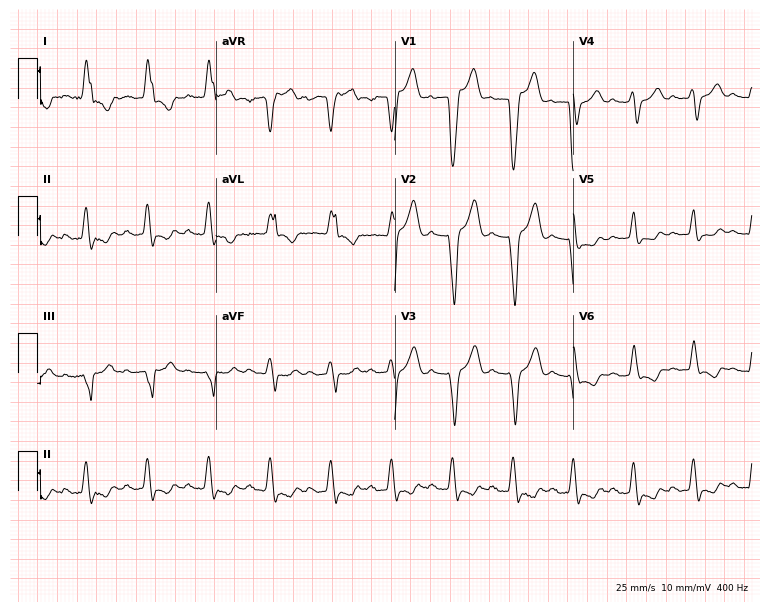
12-lead ECG from a male, 85 years old. Shows left bundle branch block.